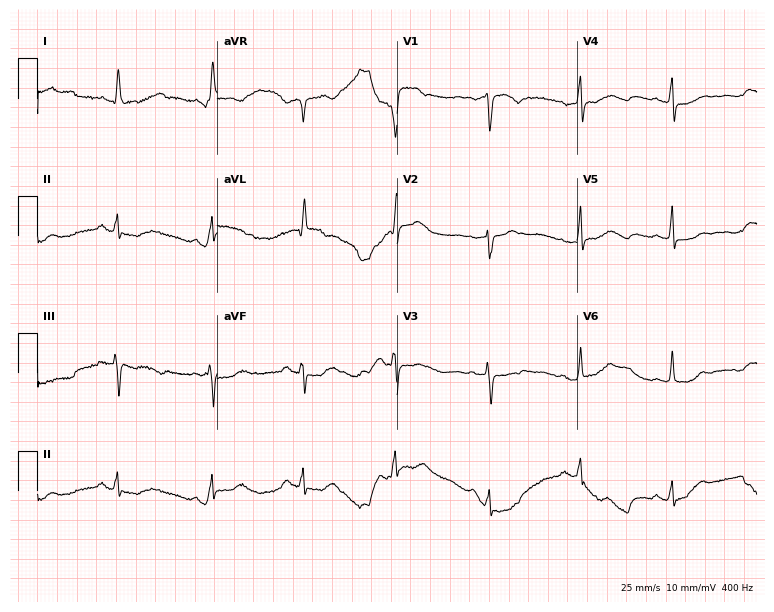
Electrocardiogram (7.3-second recording at 400 Hz), a female, 54 years old. Of the six screened findings (first-degree AV block, right bundle branch block, left bundle branch block, sinus bradycardia, atrial fibrillation, sinus tachycardia), none is recorded. Findings outside these six are not listed.